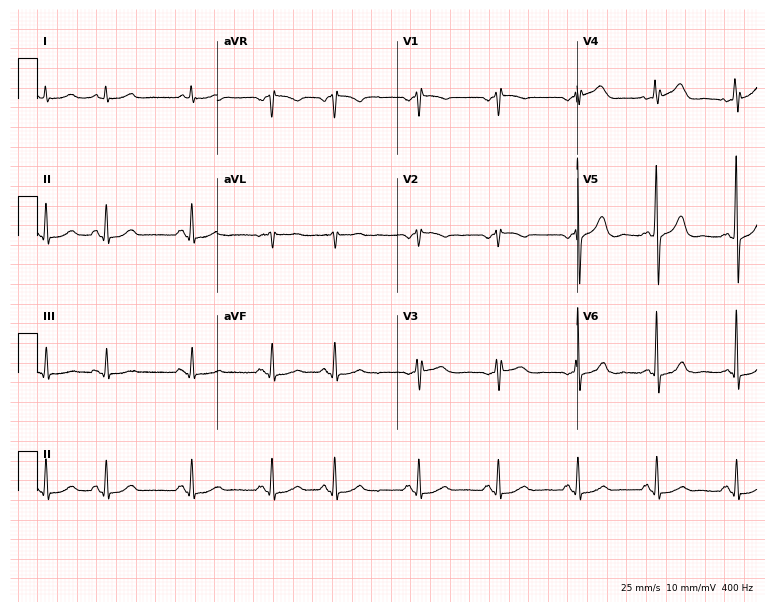
12-lead ECG (7.3-second recording at 400 Hz) from an 80-year-old female patient. Screened for six findings — first-degree AV block, right bundle branch block, left bundle branch block, sinus bradycardia, atrial fibrillation, sinus tachycardia — none is recorded.